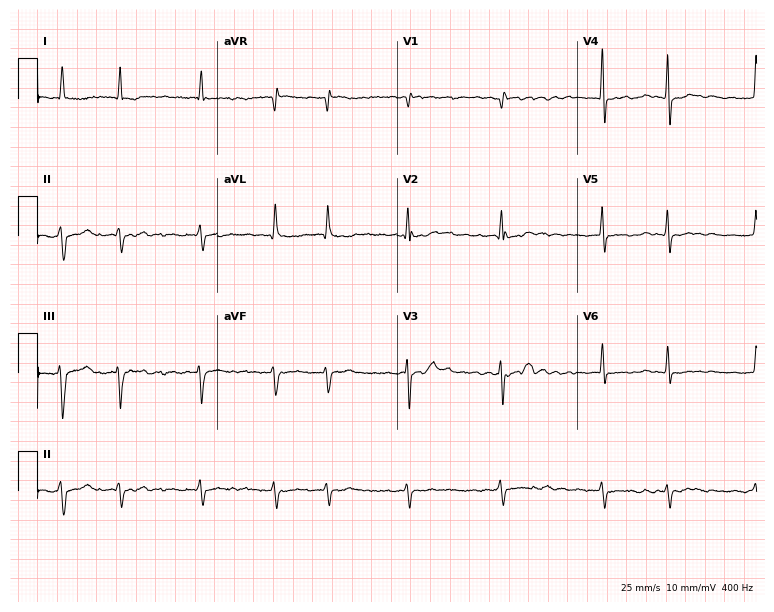
Resting 12-lead electrocardiogram. Patient: an 84-year-old female. The tracing shows atrial fibrillation.